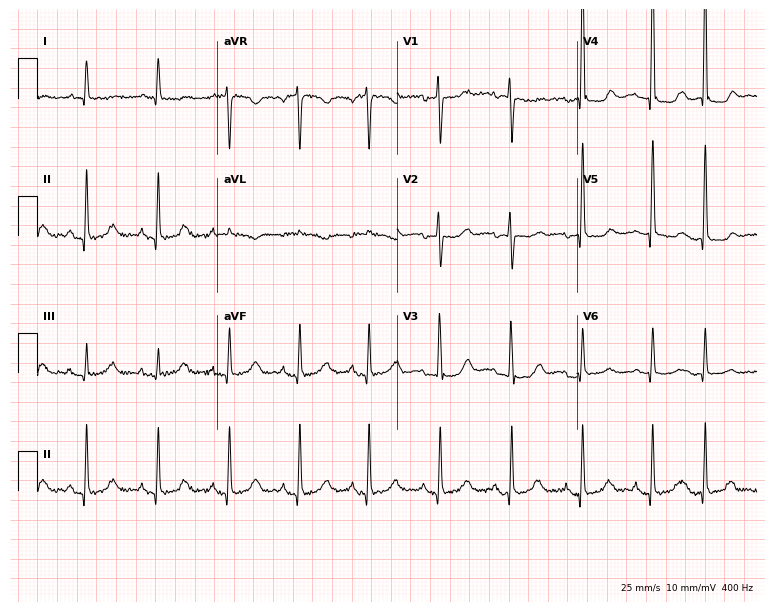
ECG — a female, 79 years old. Screened for six findings — first-degree AV block, right bundle branch block, left bundle branch block, sinus bradycardia, atrial fibrillation, sinus tachycardia — none is recorded. Only these six findings were labelled.